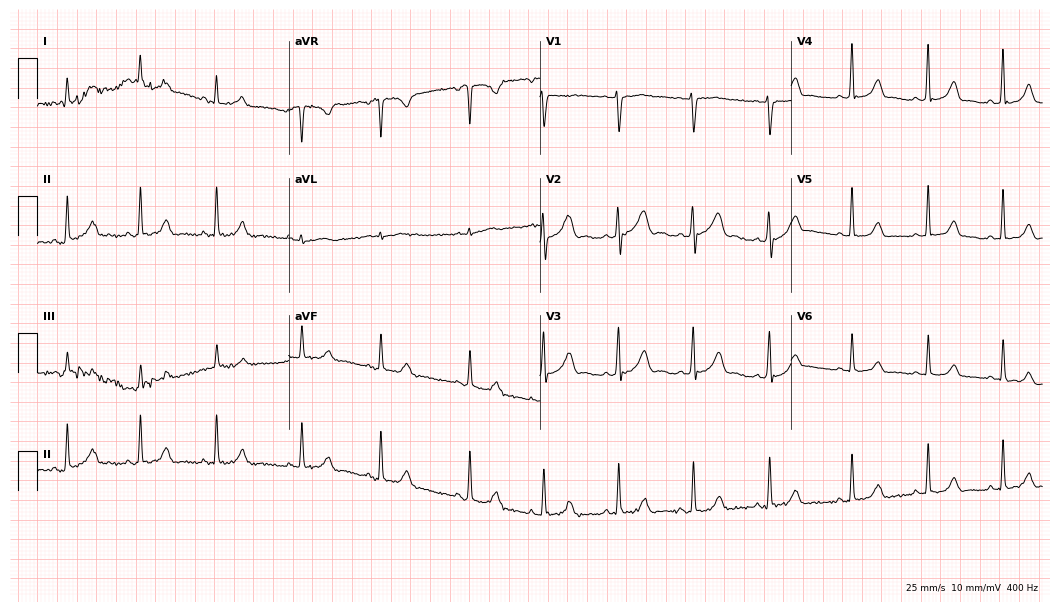
12-lead ECG (10.2-second recording at 400 Hz) from a 36-year-old woman. Screened for six findings — first-degree AV block, right bundle branch block, left bundle branch block, sinus bradycardia, atrial fibrillation, sinus tachycardia — none is recorded.